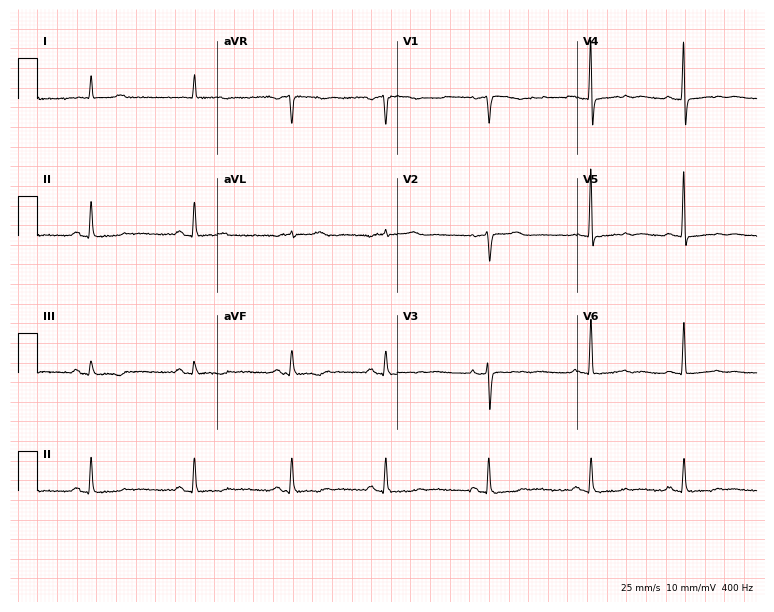
Electrocardiogram, an 83-year-old female patient. Of the six screened findings (first-degree AV block, right bundle branch block, left bundle branch block, sinus bradycardia, atrial fibrillation, sinus tachycardia), none is recorded.